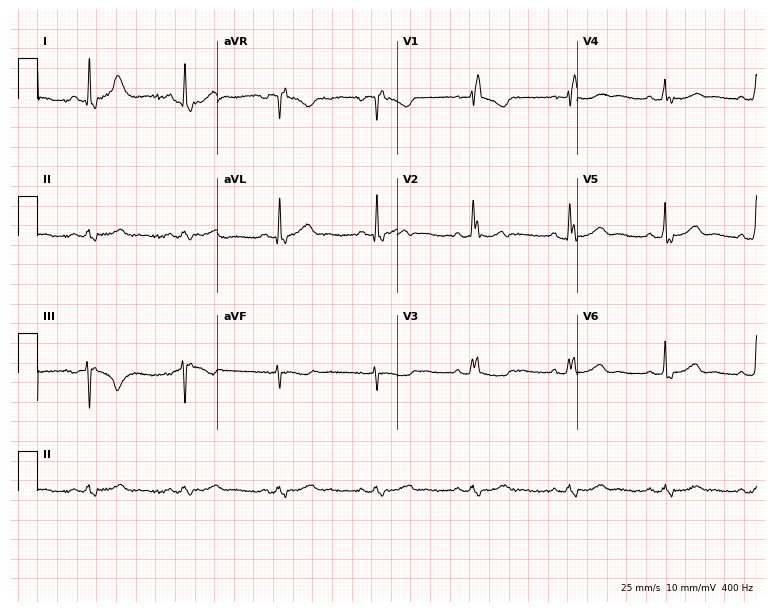
ECG — a female patient, 80 years old. Screened for six findings — first-degree AV block, right bundle branch block, left bundle branch block, sinus bradycardia, atrial fibrillation, sinus tachycardia — none is recorded.